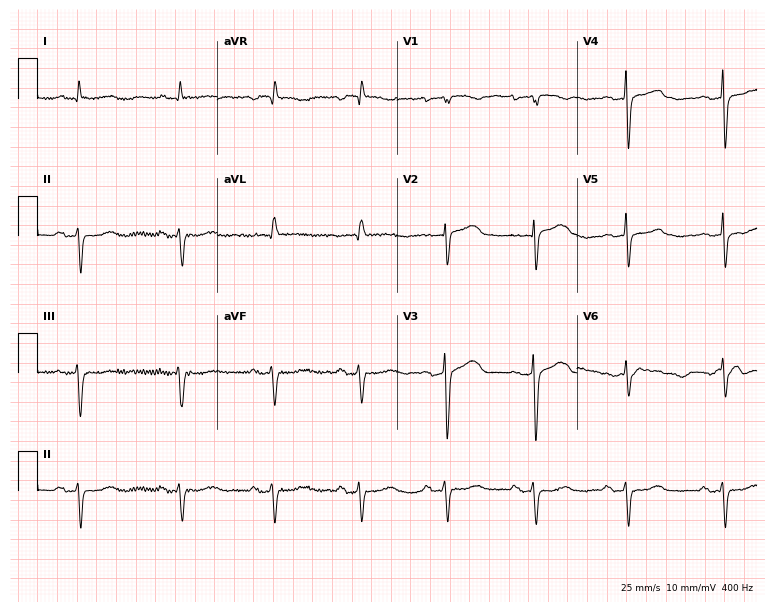
ECG (7.3-second recording at 400 Hz) — a female, 79 years old. Screened for six findings — first-degree AV block, right bundle branch block, left bundle branch block, sinus bradycardia, atrial fibrillation, sinus tachycardia — none is recorded. Only these six findings were labelled.